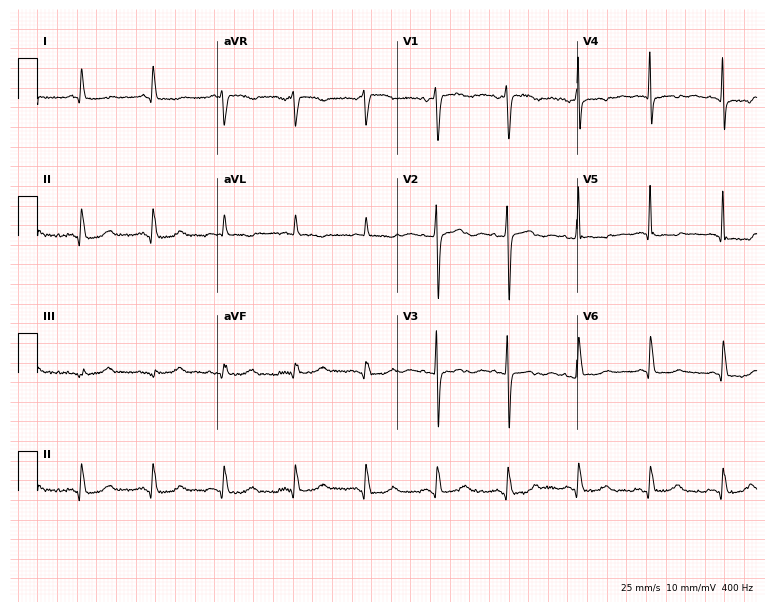
Standard 12-lead ECG recorded from an 80-year-old female (7.3-second recording at 400 Hz). None of these six findings is recorded: first-degree AV block, right bundle branch block, left bundle branch block, sinus bradycardia, atrial fibrillation, sinus tachycardia. Findings outside these six are not listed.